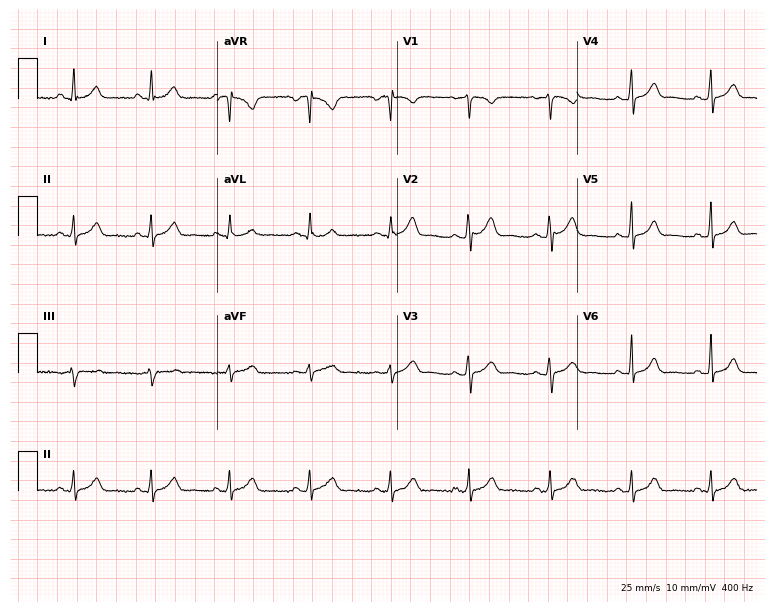
ECG (7.3-second recording at 400 Hz) — a 30-year-old female. Labelled as a normal ECG.